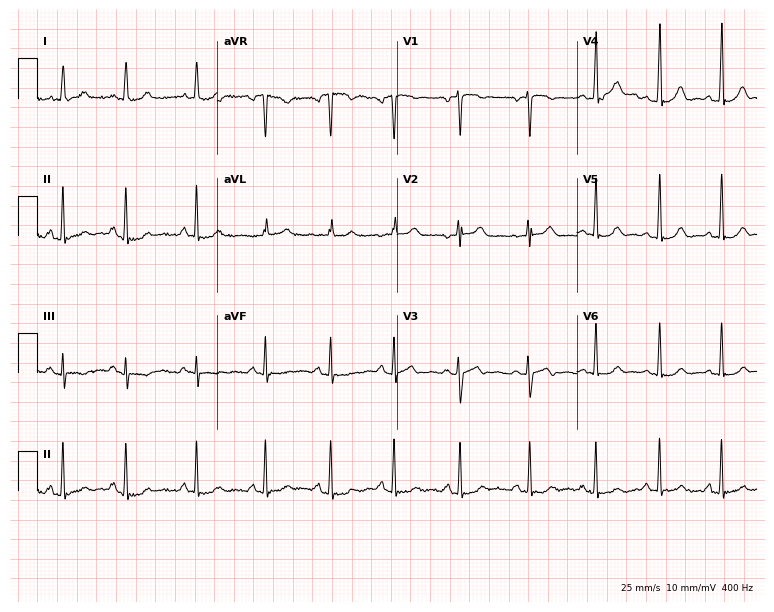
Standard 12-lead ECG recorded from a 22-year-old woman (7.3-second recording at 400 Hz). Read as a normal ECG.